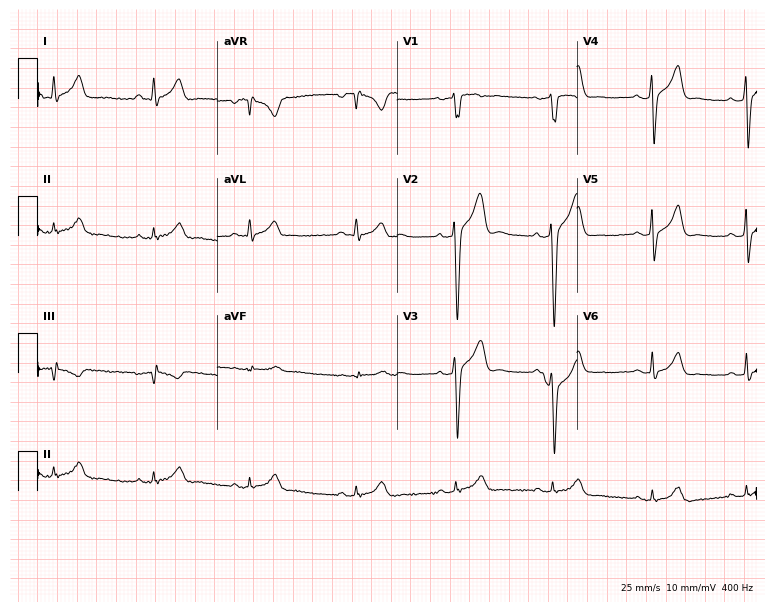
Resting 12-lead electrocardiogram. Patient: a 27-year-old male. None of these six findings is recorded: first-degree AV block, right bundle branch block, left bundle branch block, sinus bradycardia, atrial fibrillation, sinus tachycardia. Other findings, if any, are not listed.